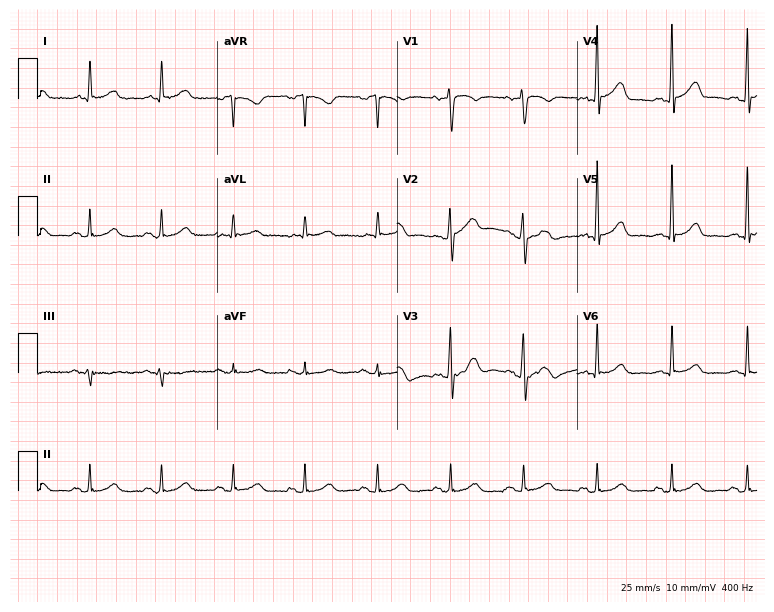
12-lead ECG from a male patient, 63 years old. Recorded interpretation: within normal limits.